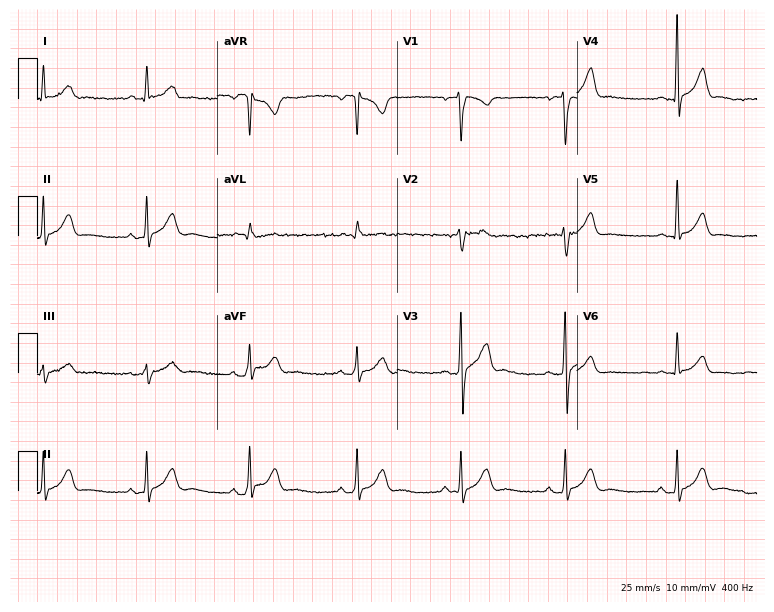
Electrocardiogram (7.3-second recording at 400 Hz), a 26-year-old man. Overall reading on record: normal ECG.